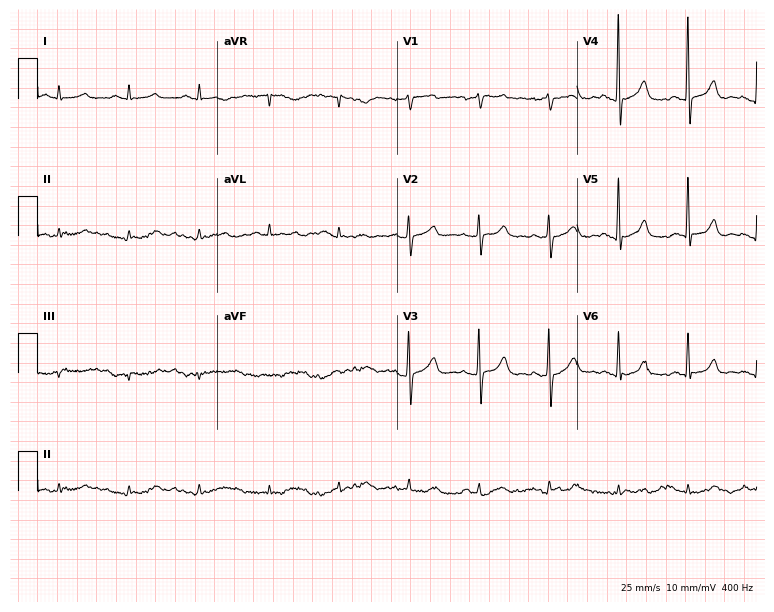
12-lead ECG from a man, 81 years old. No first-degree AV block, right bundle branch block, left bundle branch block, sinus bradycardia, atrial fibrillation or sinus tachycardia recorded for this tracing. Other findings, if any, are not listed.